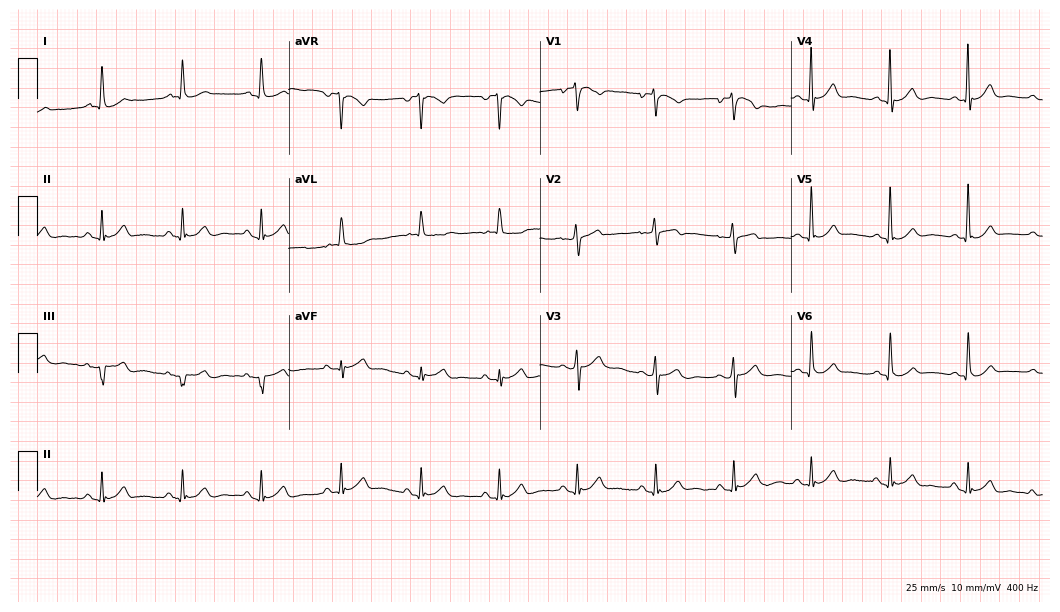
12-lead ECG from an 80-year-old female (10.2-second recording at 400 Hz). Recorded interpretation: within normal limits.